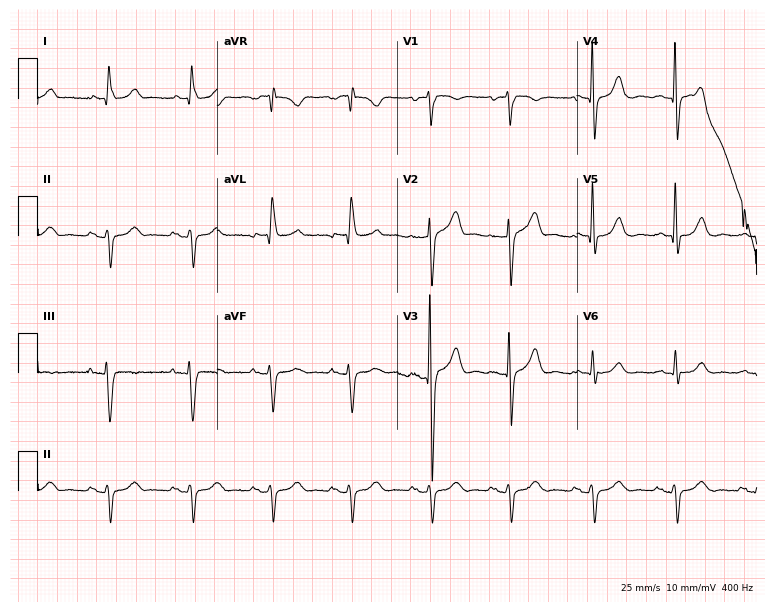
Electrocardiogram (7.3-second recording at 400 Hz), a 69-year-old man. Overall reading on record: normal ECG.